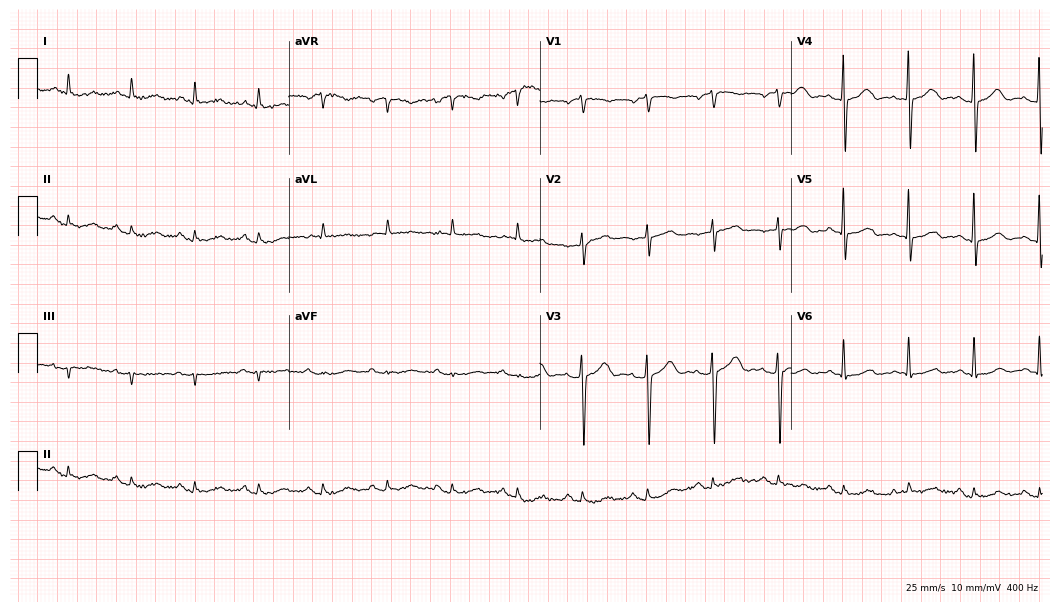
Standard 12-lead ECG recorded from a man, 81 years old. Read as a normal ECG.